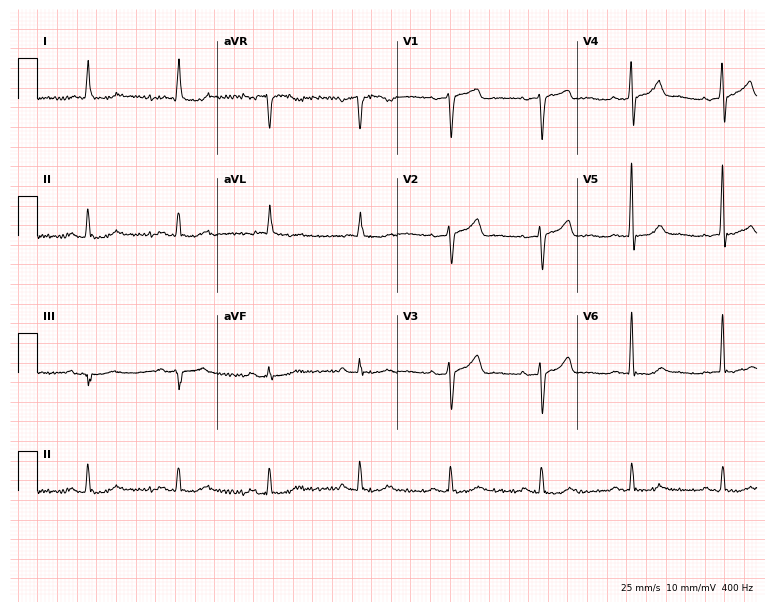
ECG — a male, 84 years old. Screened for six findings — first-degree AV block, right bundle branch block (RBBB), left bundle branch block (LBBB), sinus bradycardia, atrial fibrillation (AF), sinus tachycardia — none is recorded.